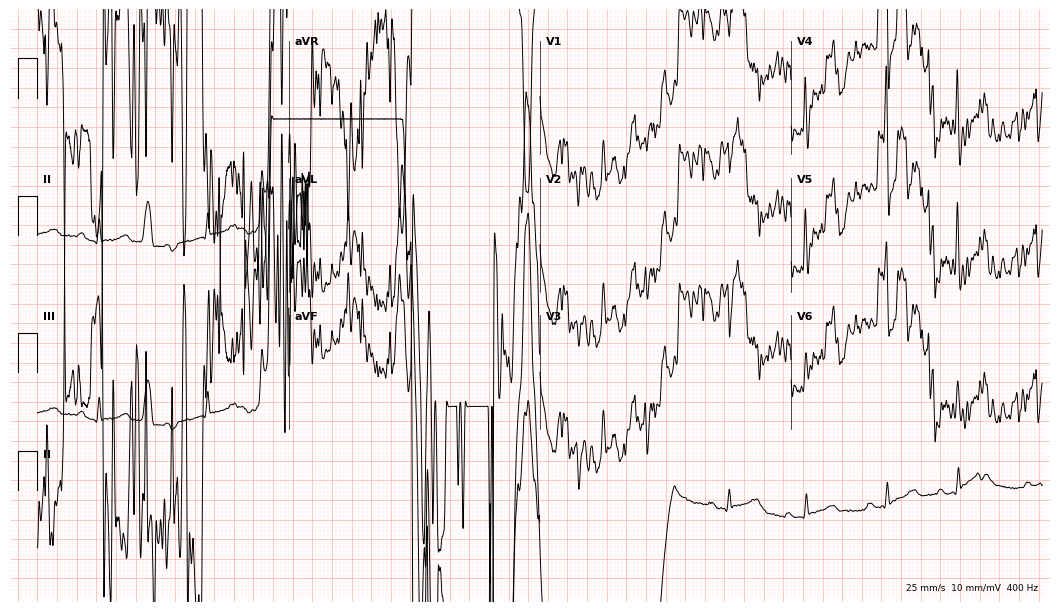
ECG (10.2-second recording at 400 Hz) — a female, 85 years old. Screened for six findings — first-degree AV block, right bundle branch block (RBBB), left bundle branch block (LBBB), sinus bradycardia, atrial fibrillation (AF), sinus tachycardia — none is recorded.